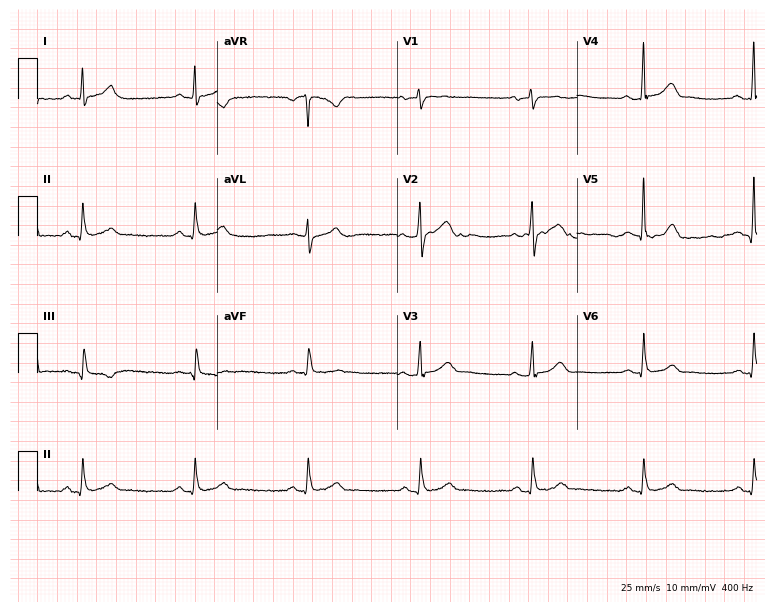
Electrocardiogram (7.3-second recording at 400 Hz), a 39-year-old male patient. Of the six screened findings (first-degree AV block, right bundle branch block (RBBB), left bundle branch block (LBBB), sinus bradycardia, atrial fibrillation (AF), sinus tachycardia), none is recorded. Only these six findings were labelled.